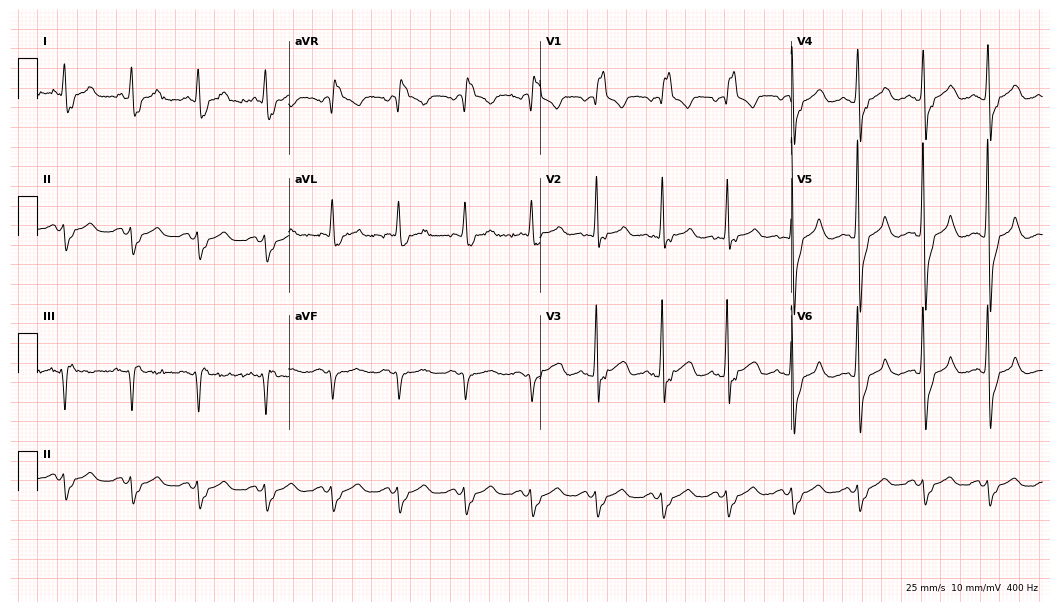
Standard 12-lead ECG recorded from a male, 71 years old (10.2-second recording at 400 Hz). None of these six findings is recorded: first-degree AV block, right bundle branch block, left bundle branch block, sinus bradycardia, atrial fibrillation, sinus tachycardia.